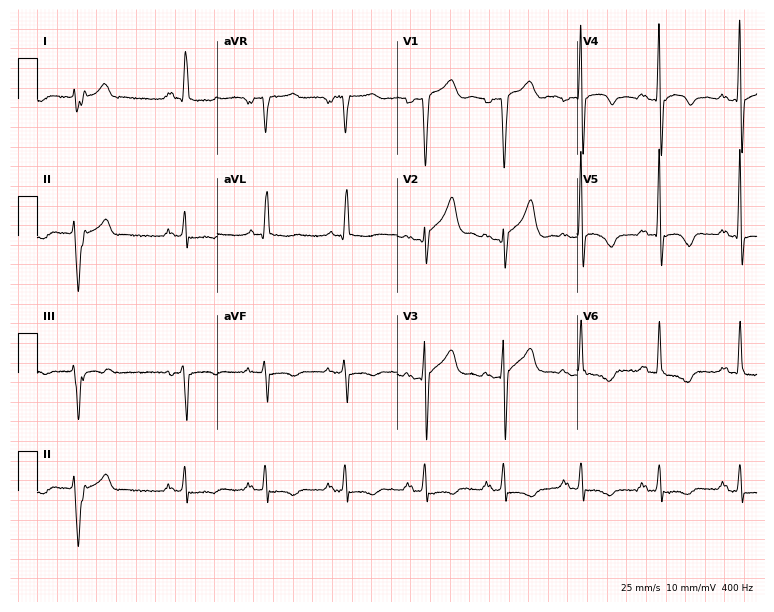
12-lead ECG (7.3-second recording at 400 Hz) from a 58-year-old male patient. Screened for six findings — first-degree AV block, right bundle branch block, left bundle branch block, sinus bradycardia, atrial fibrillation, sinus tachycardia — none is recorded.